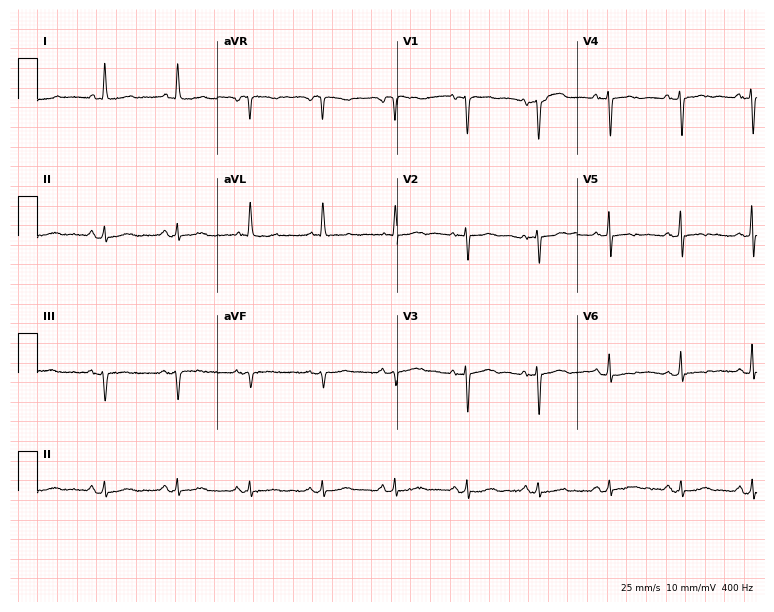
Standard 12-lead ECG recorded from a female, 74 years old. None of these six findings is recorded: first-degree AV block, right bundle branch block, left bundle branch block, sinus bradycardia, atrial fibrillation, sinus tachycardia.